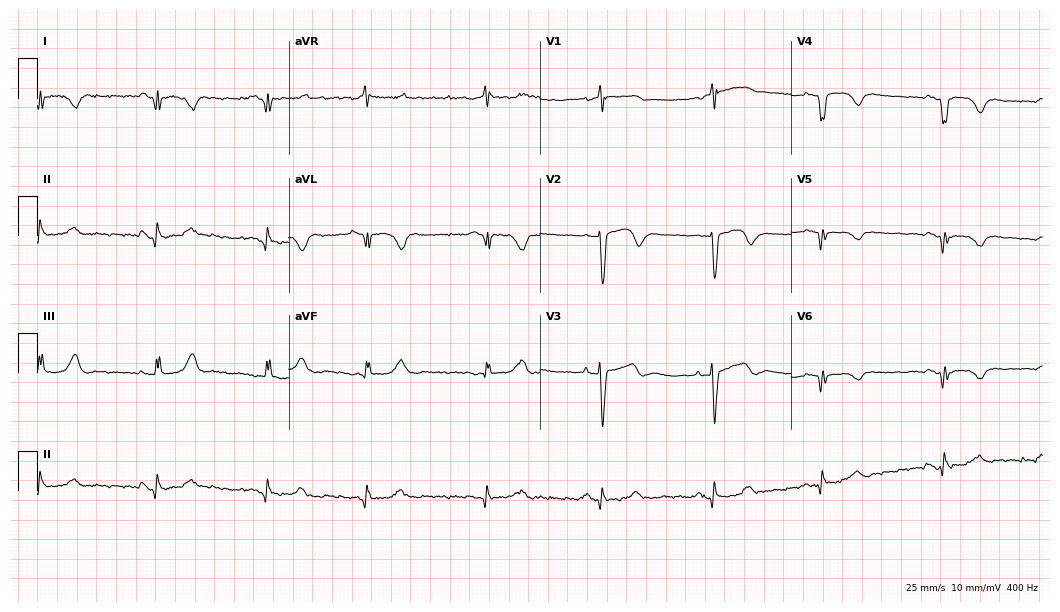
Electrocardiogram (10.2-second recording at 400 Hz), a female, 68 years old. Of the six screened findings (first-degree AV block, right bundle branch block, left bundle branch block, sinus bradycardia, atrial fibrillation, sinus tachycardia), none is recorded.